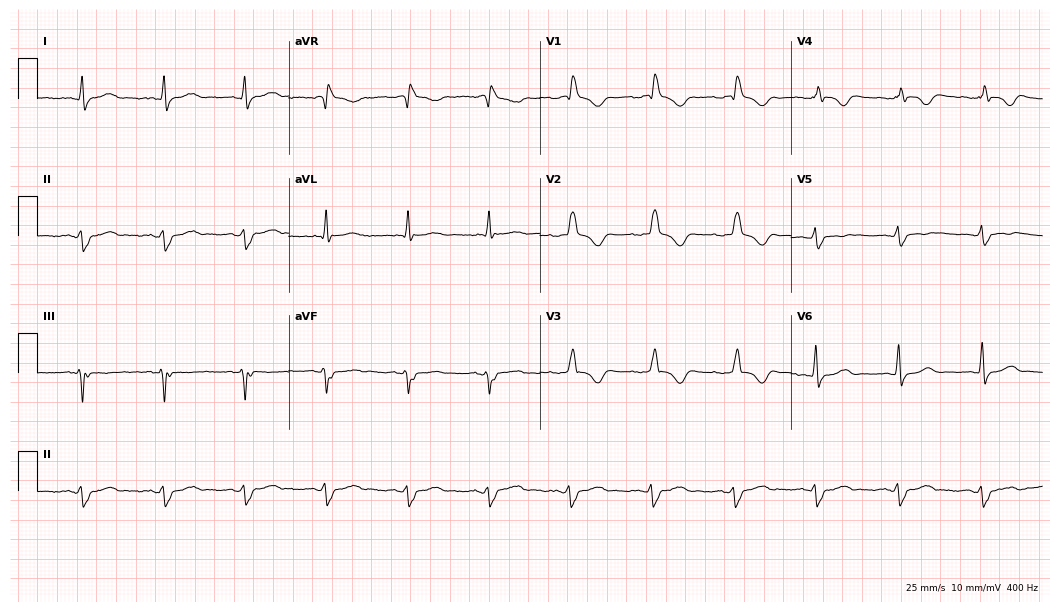
Resting 12-lead electrocardiogram. Patient: a woman, 40 years old. None of these six findings is recorded: first-degree AV block, right bundle branch block, left bundle branch block, sinus bradycardia, atrial fibrillation, sinus tachycardia.